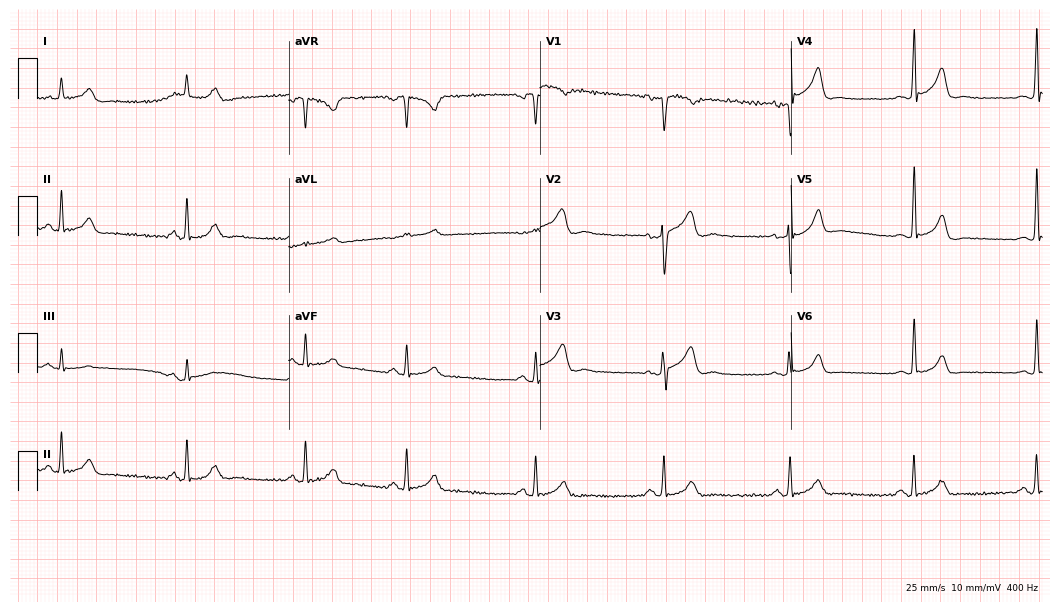
Standard 12-lead ECG recorded from a man, 41 years old (10.2-second recording at 400 Hz). The tracing shows sinus bradycardia (a sinus rate of 50 beats per minute or less).